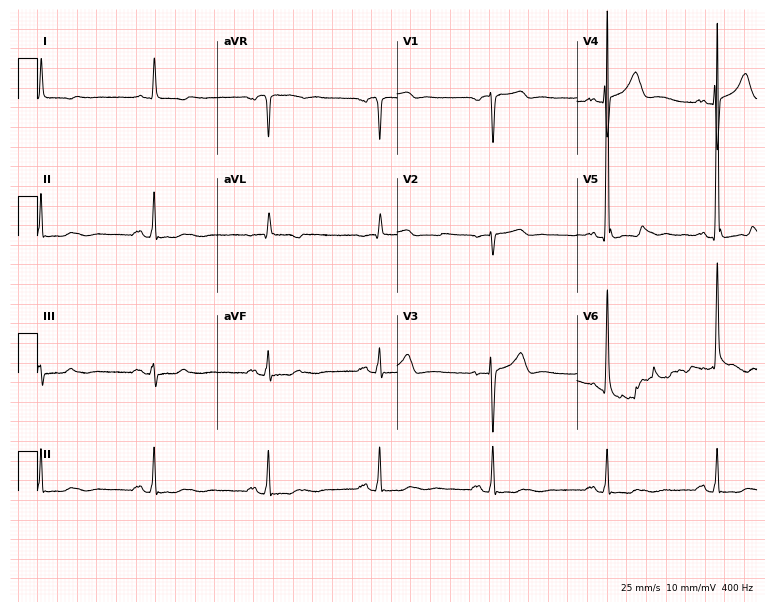
Standard 12-lead ECG recorded from a male, 84 years old (7.3-second recording at 400 Hz). None of these six findings is recorded: first-degree AV block, right bundle branch block (RBBB), left bundle branch block (LBBB), sinus bradycardia, atrial fibrillation (AF), sinus tachycardia. Findings outside these six are not listed.